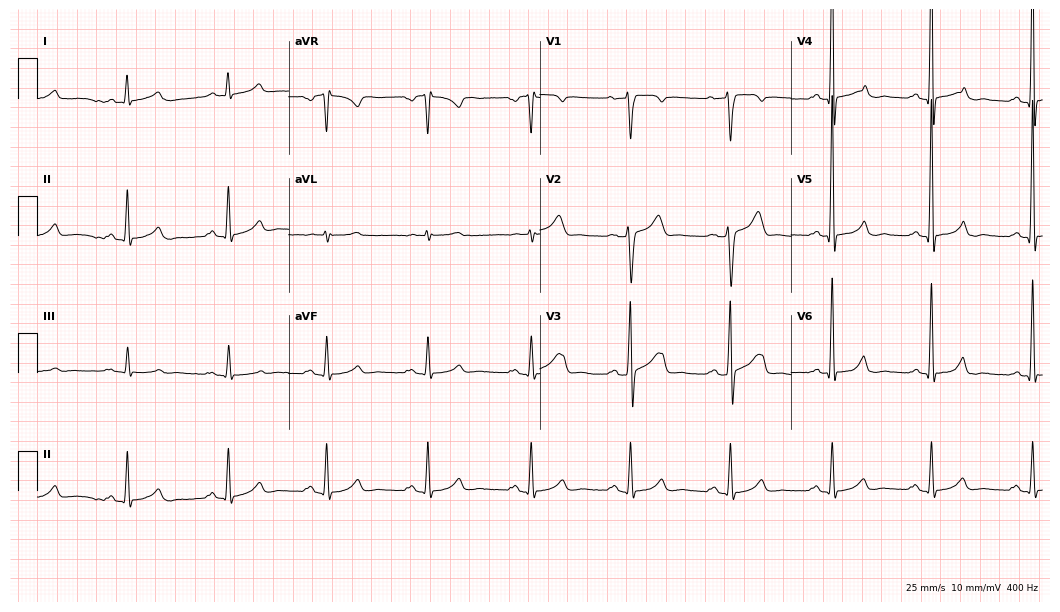
Resting 12-lead electrocardiogram. Patient: a 49-year-old male. Read as a normal ECG.